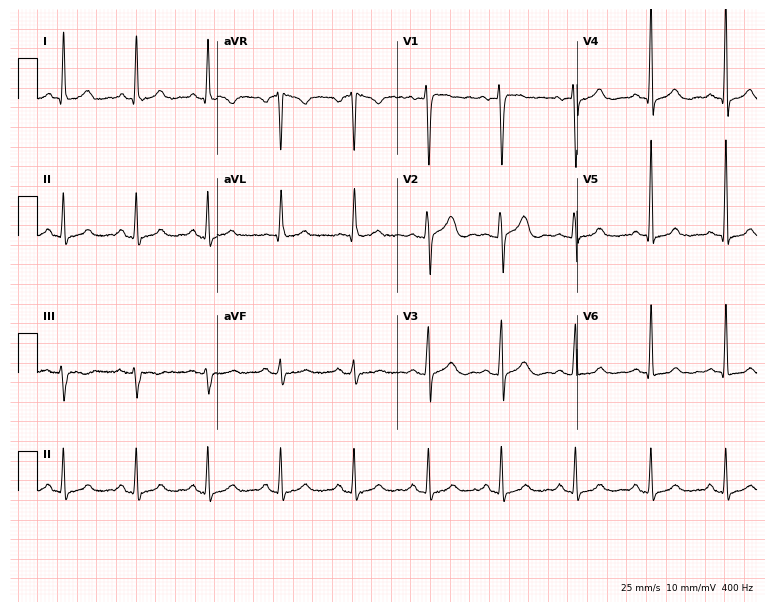
Electrocardiogram, a 67-year-old female patient. Overall reading on record: normal ECG.